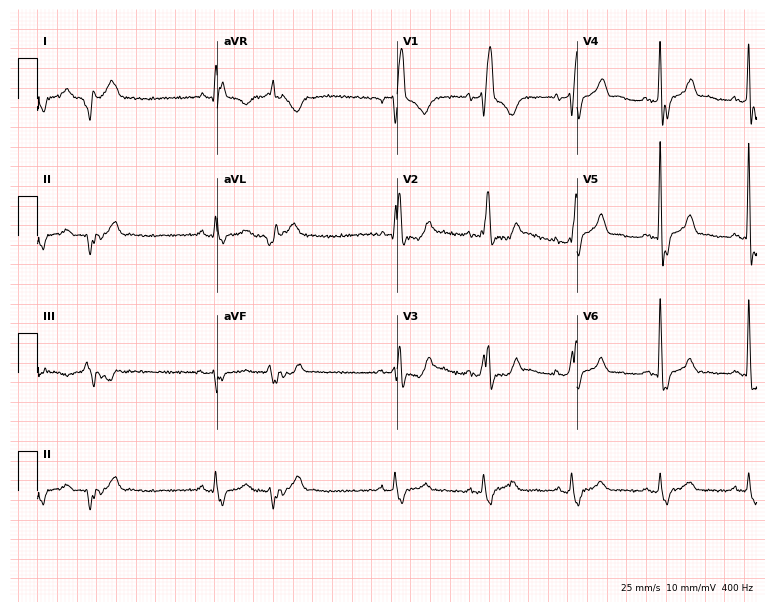
12-lead ECG from a 71-year-old male patient. Shows right bundle branch block (RBBB).